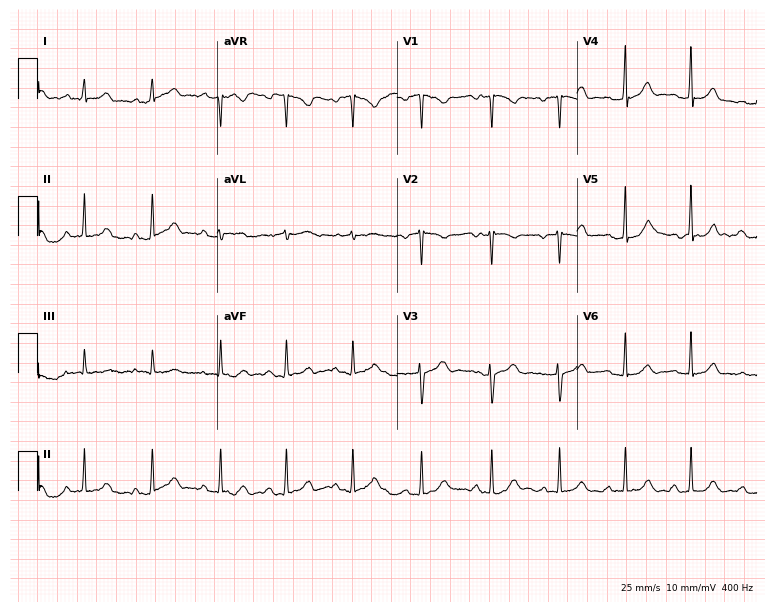
Standard 12-lead ECG recorded from a woman, 20 years old. None of these six findings is recorded: first-degree AV block, right bundle branch block, left bundle branch block, sinus bradycardia, atrial fibrillation, sinus tachycardia.